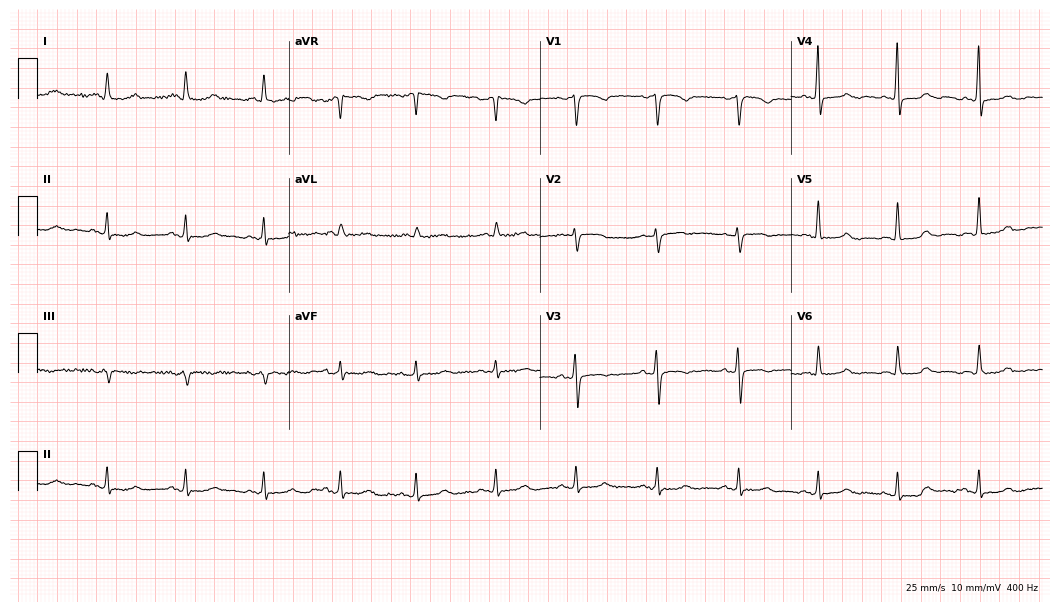
Standard 12-lead ECG recorded from a 49-year-old woman. None of these six findings is recorded: first-degree AV block, right bundle branch block (RBBB), left bundle branch block (LBBB), sinus bradycardia, atrial fibrillation (AF), sinus tachycardia.